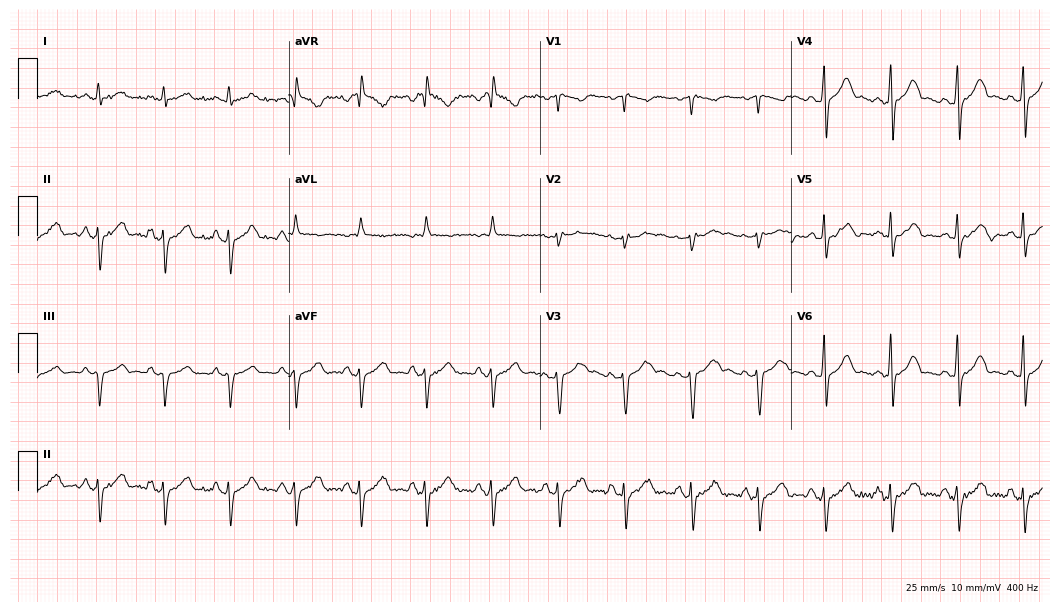
Resting 12-lead electrocardiogram. Patient: a woman, 43 years old. None of these six findings is recorded: first-degree AV block, right bundle branch block, left bundle branch block, sinus bradycardia, atrial fibrillation, sinus tachycardia. Findings outside these six are not listed.